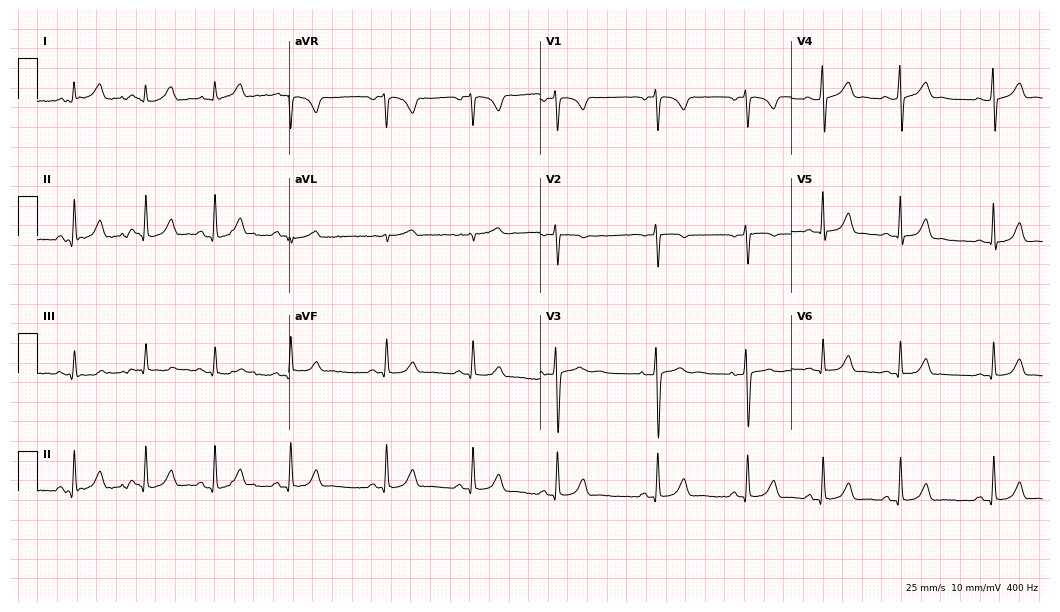
Resting 12-lead electrocardiogram. Patient: a 17-year-old female. Read as a normal ECG.